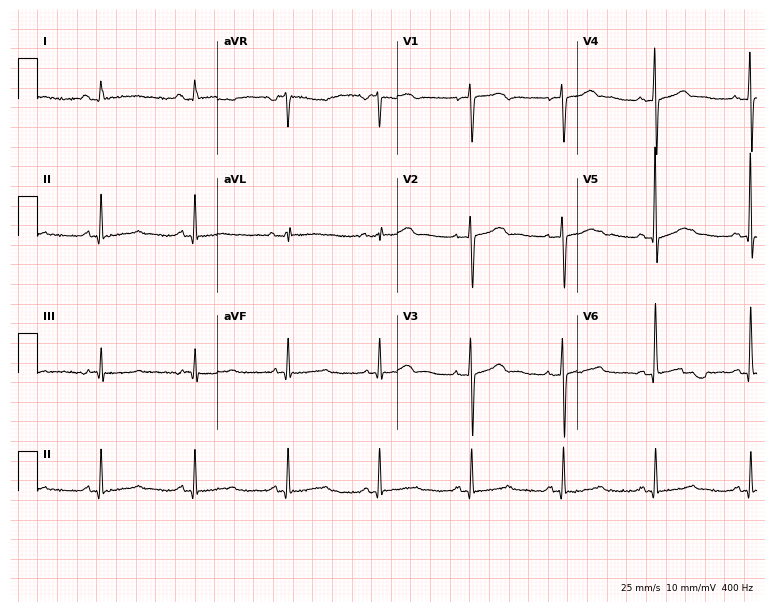
Resting 12-lead electrocardiogram. Patient: a male, 74 years old. Read as a normal ECG.